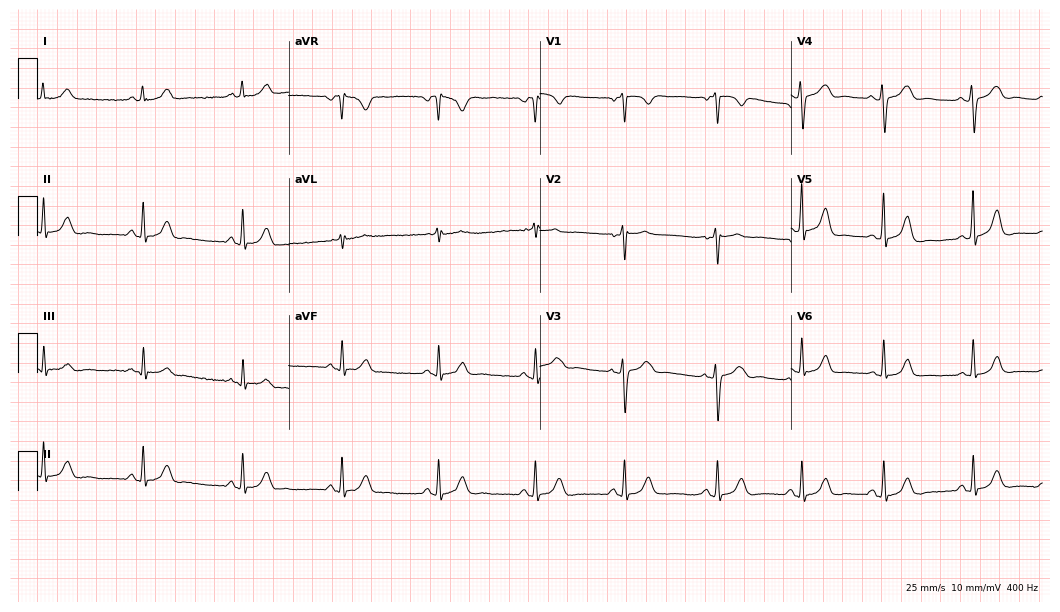
ECG (10.2-second recording at 400 Hz) — a female, 35 years old. Labelled as a normal ECG.